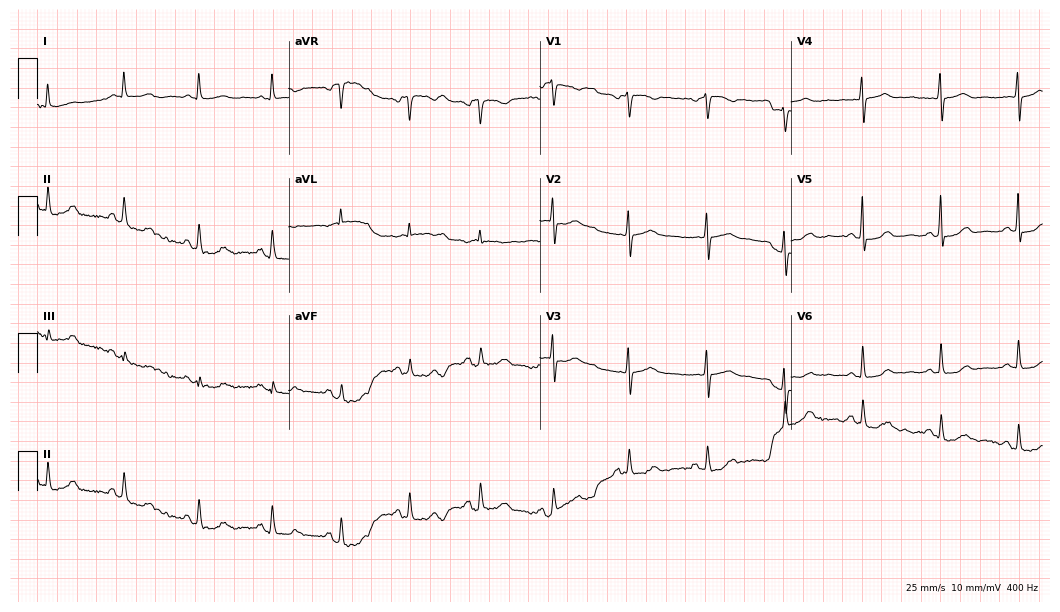
12-lead ECG from a 77-year-old female (10.2-second recording at 400 Hz). No first-degree AV block, right bundle branch block, left bundle branch block, sinus bradycardia, atrial fibrillation or sinus tachycardia recorded for this tracing. Findings outside these six are not listed.